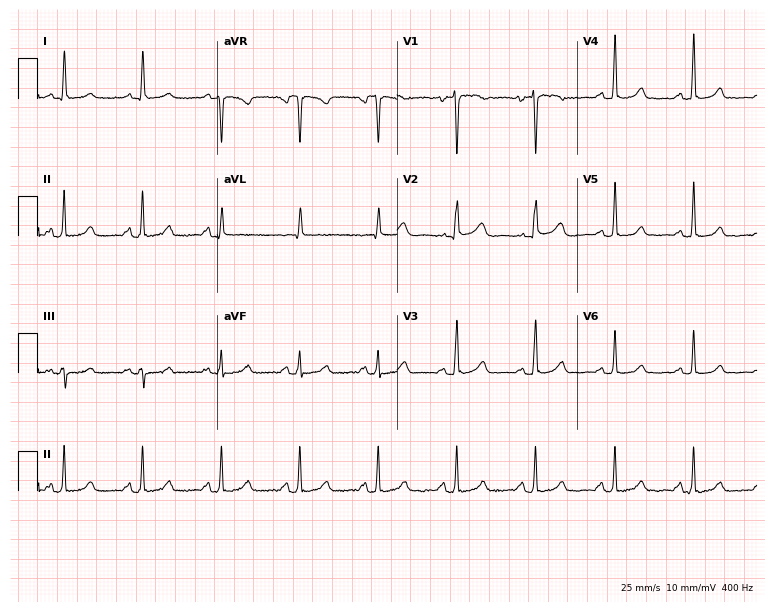
ECG (7.3-second recording at 400 Hz) — a woman, 53 years old. Labelled as a normal ECG.